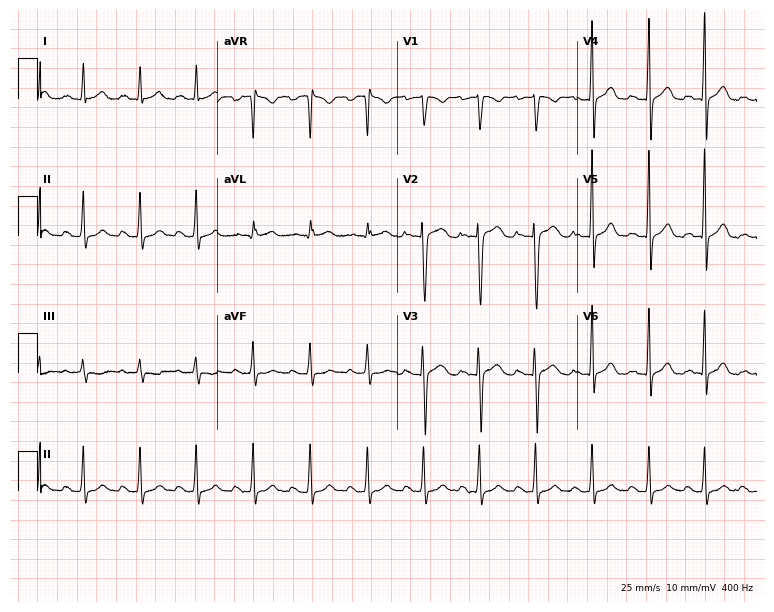
ECG — a 21-year-old female. Screened for six findings — first-degree AV block, right bundle branch block, left bundle branch block, sinus bradycardia, atrial fibrillation, sinus tachycardia — none is recorded. Only these six findings were labelled.